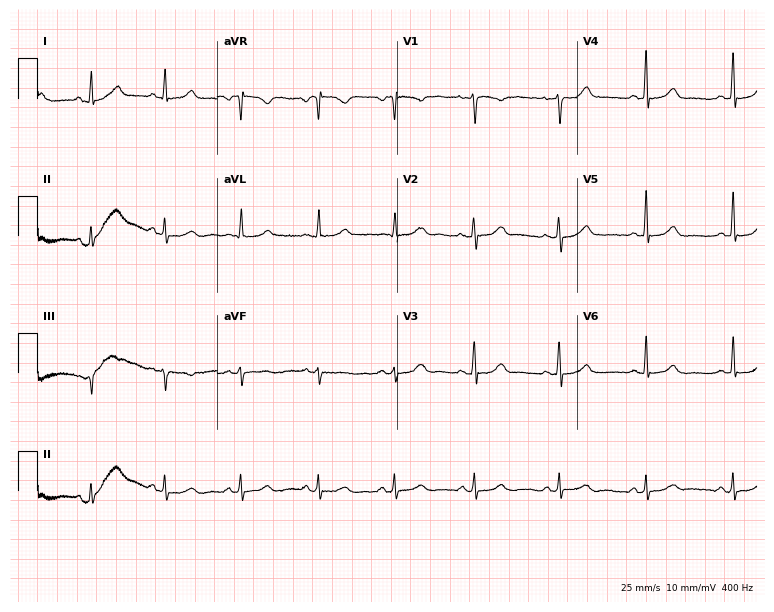
Standard 12-lead ECG recorded from a female patient, 43 years old (7.3-second recording at 400 Hz). Read as a normal ECG.